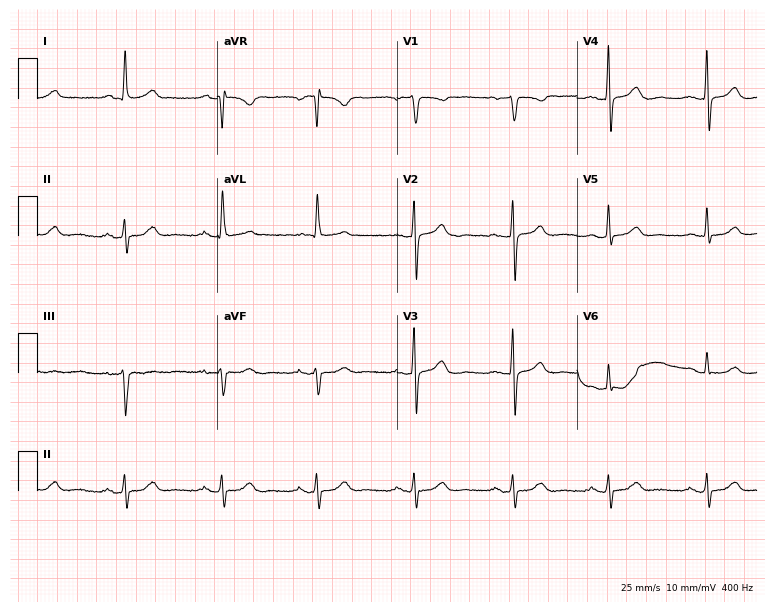
Standard 12-lead ECG recorded from an 80-year-old female (7.3-second recording at 400 Hz). None of these six findings is recorded: first-degree AV block, right bundle branch block, left bundle branch block, sinus bradycardia, atrial fibrillation, sinus tachycardia. Only these six findings were labelled.